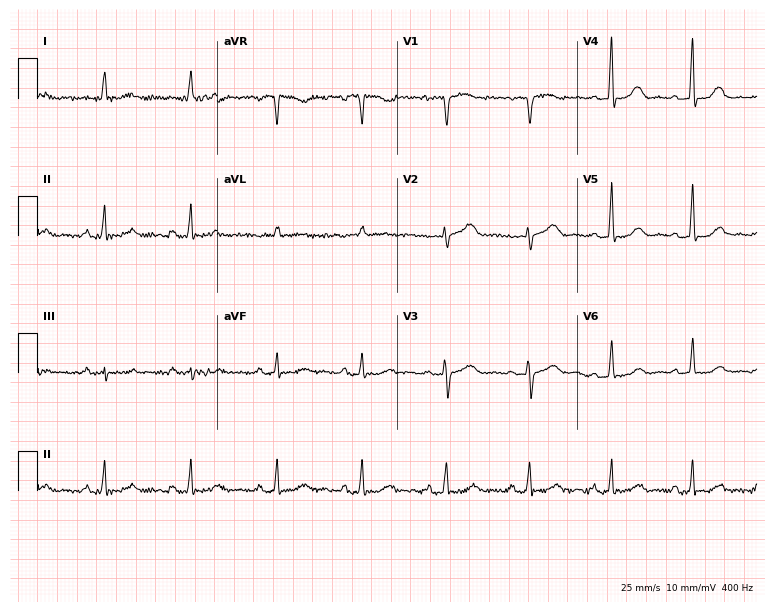
Resting 12-lead electrocardiogram. Patient: a 63-year-old female. None of these six findings is recorded: first-degree AV block, right bundle branch block, left bundle branch block, sinus bradycardia, atrial fibrillation, sinus tachycardia. Findings outside these six are not listed.